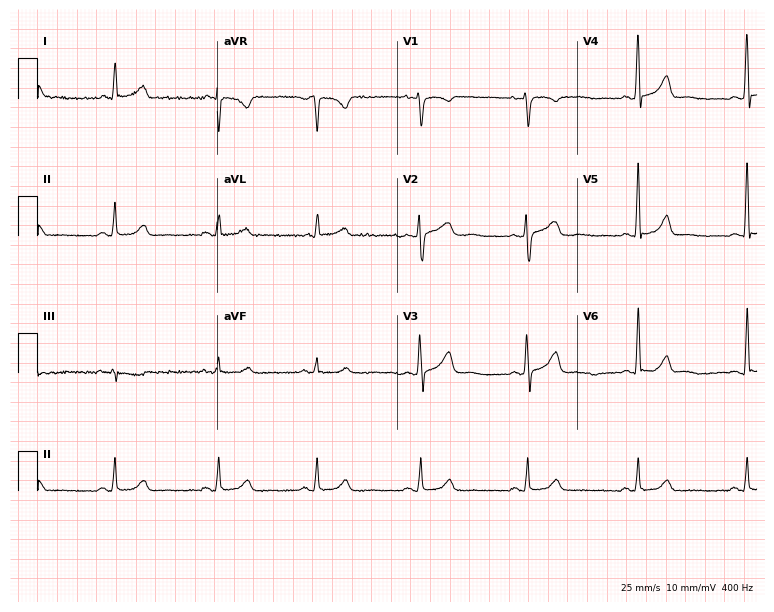
ECG — a woman, 46 years old. Labelled as a normal ECG.